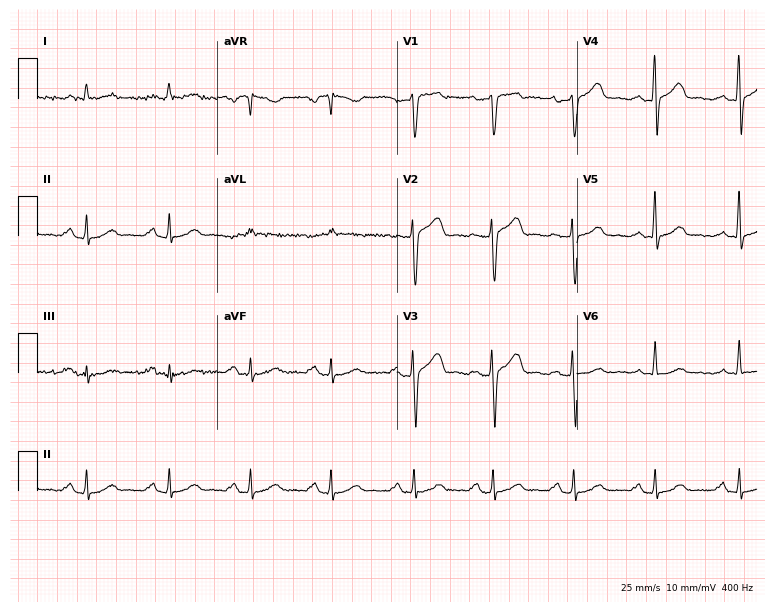
Standard 12-lead ECG recorded from a 53-year-old male (7.3-second recording at 400 Hz). None of these six findings is recorded: first-degree AV block, right bundle branch block (RBBB), left bundle branch block (LBBB), sinus bradycardia, atrial fibrillation (AF), sinus tachycardia. Findings outside these six are not listed.